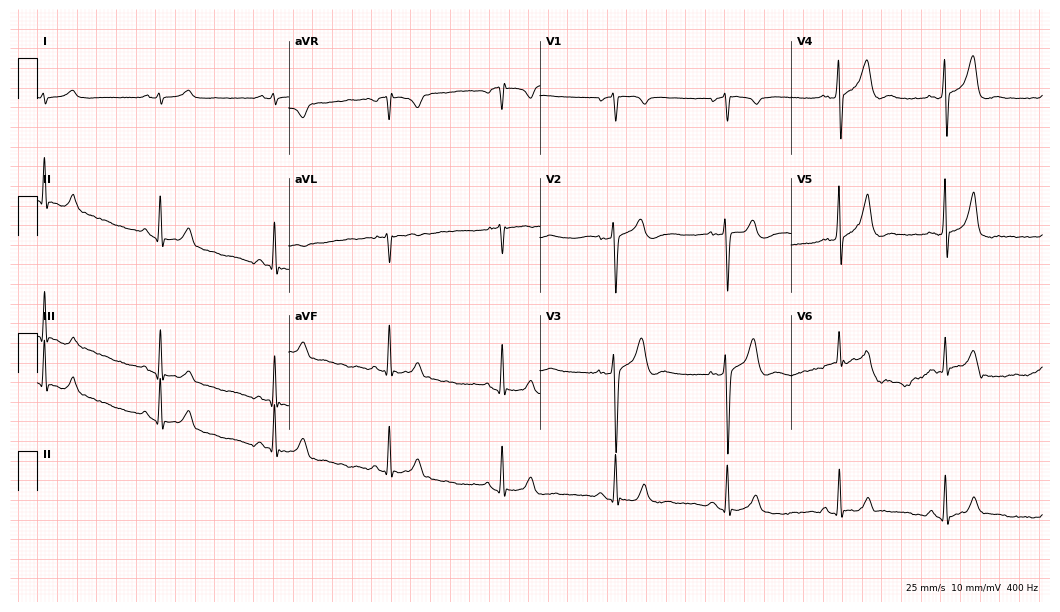
Resting 12-lead electrocardiogram (10.2-second recording at 400 Hz). Patient: a man, 33 years old. None of these six findings is recorded: first-degree AV block, right bundle branch block (RBBB), left bundle branch block (LBBB), sinus bradycardia, atrial fibrillation (AF), sinus tachycardia. Other findings, if any, are not listed.